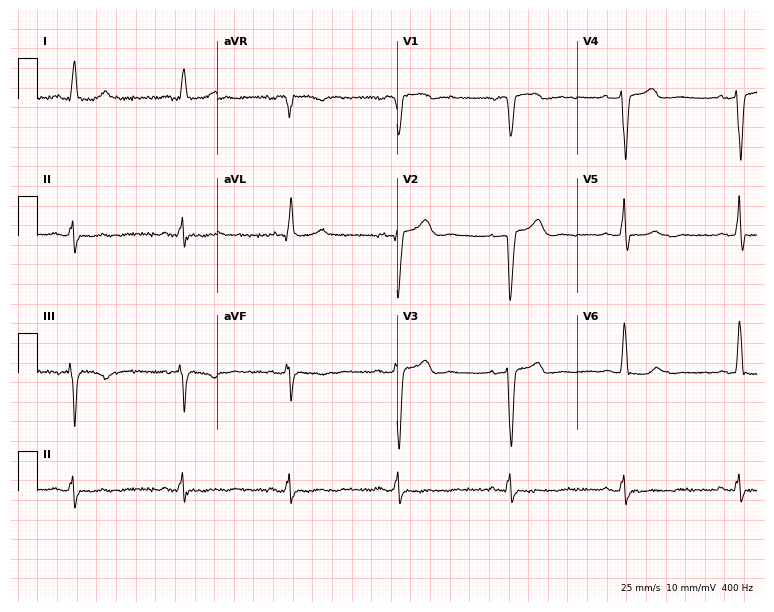
12-lead ECG from an 82-year-old male patient. Screened for six findings — first-degree AV block, right bundle branch block, left bundle branch block, sinus bradycardia, atrial fibrillation, sinus tachycardia — none is recorded.